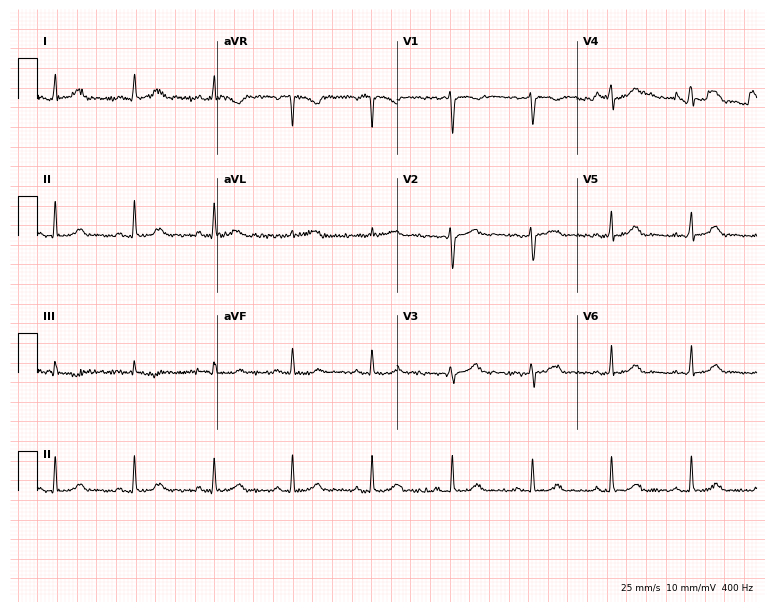
Standard 12-lead ECG recorded from a 53-year-old woman. Read as a normal ECG.